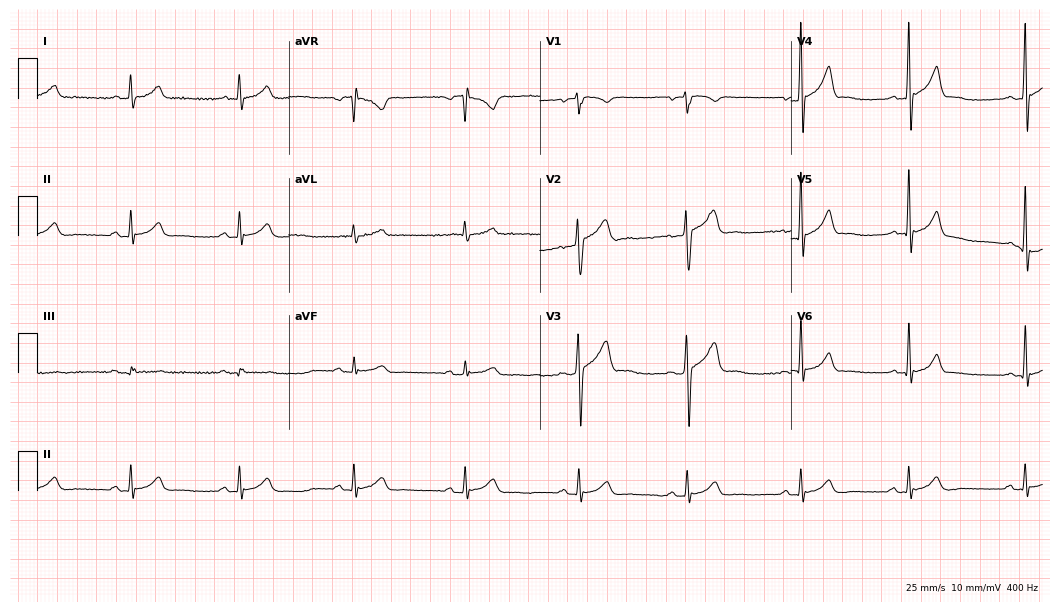
Standard 12-lead ECG recorded from a 38-year-old male (10.2-second recording at 400 Hz). Read as a normal ECG.